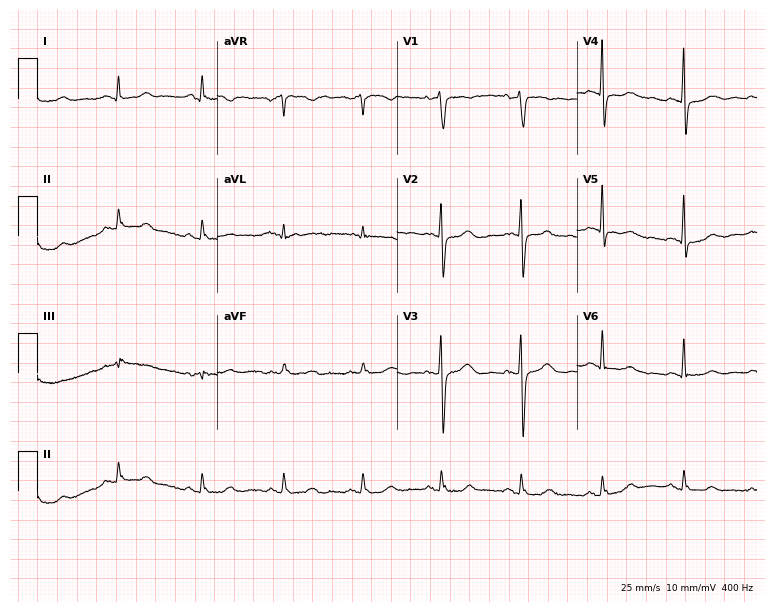
Electrocardiogram (7.3-second recording at 400 Hz), a woman, 50 years old. Overall reading on record: normal ECG.